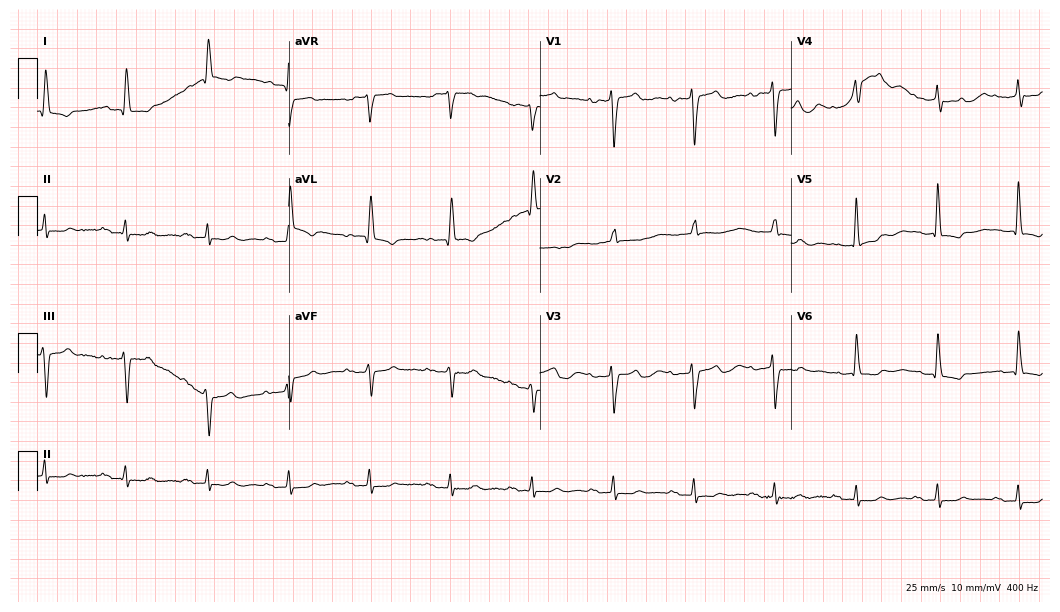
Electrocardiogram (10.2-second recording at 400 Hz), a female, 80 years old. Of the six screened findings (first-degree AV block, right bundle branch block (RBBB), left bundle branch block (LBBB), sinus bradycardia, atrial fibrillation (AF), sinus tachycardia), none is recorded.